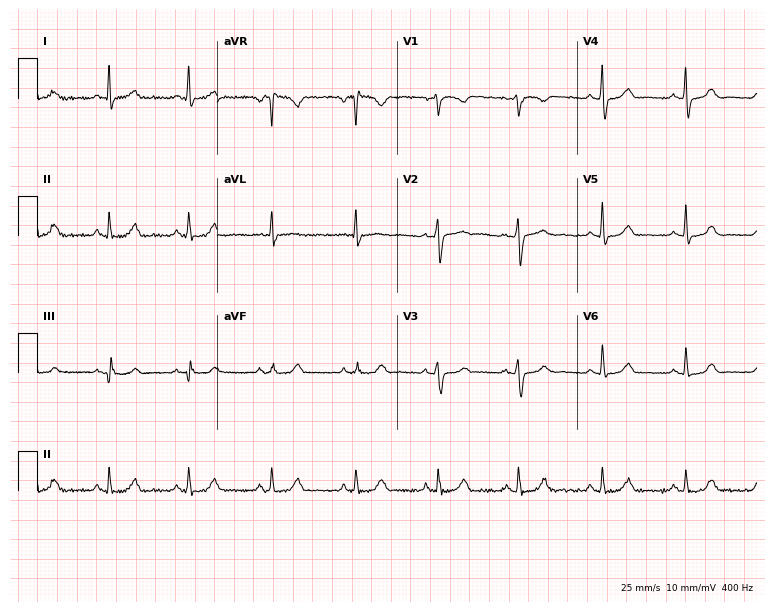
12-lead ECG from a 45-year-old female. Screened for six findings — first-degree AV block, right bundle branch block, left bundle branch block, sinus bradycardia, atrial fibrillation, sinus tachycardia — none is recorded. Other findings, if any, are not listed.